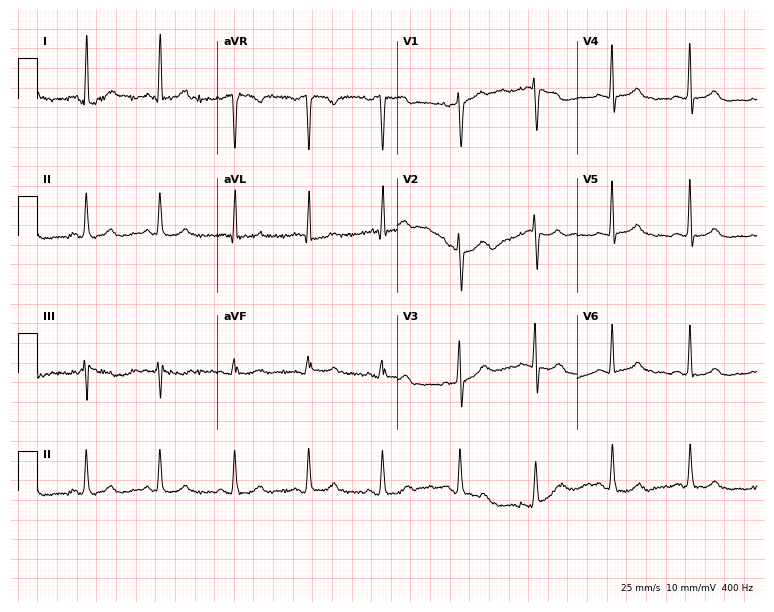
Resting 12-lead electrocardiogram. Patient: a female, 49 years old. Read as a normal ECG.